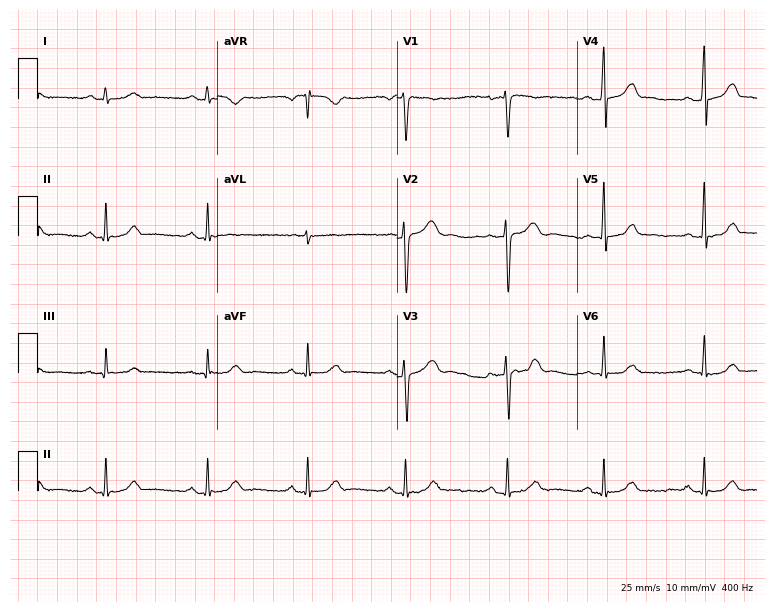
Resting 12-lead electrocardiogram. Patient: a 43-year-old male. Read as a normal ECG.